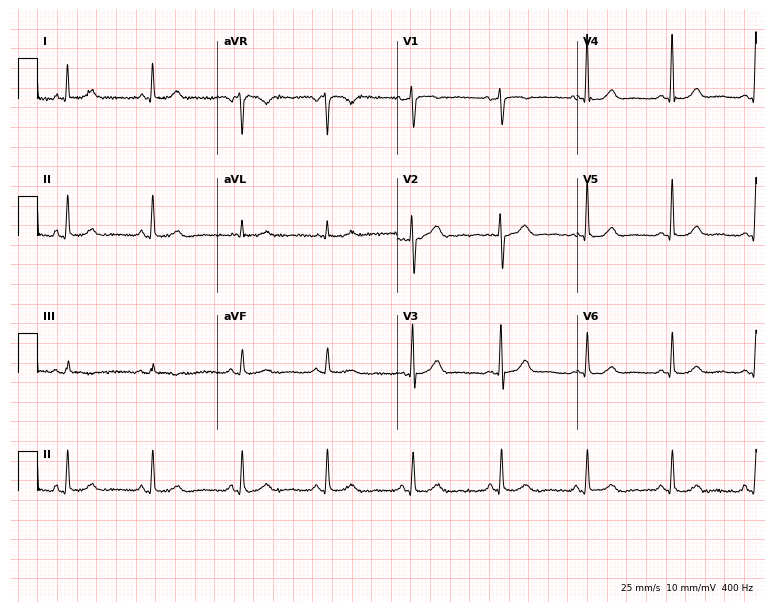
12-lead ECG from a 60-year-old female (7.3-second recording at 400 Hz). Recorded interpretation: within normal limits.